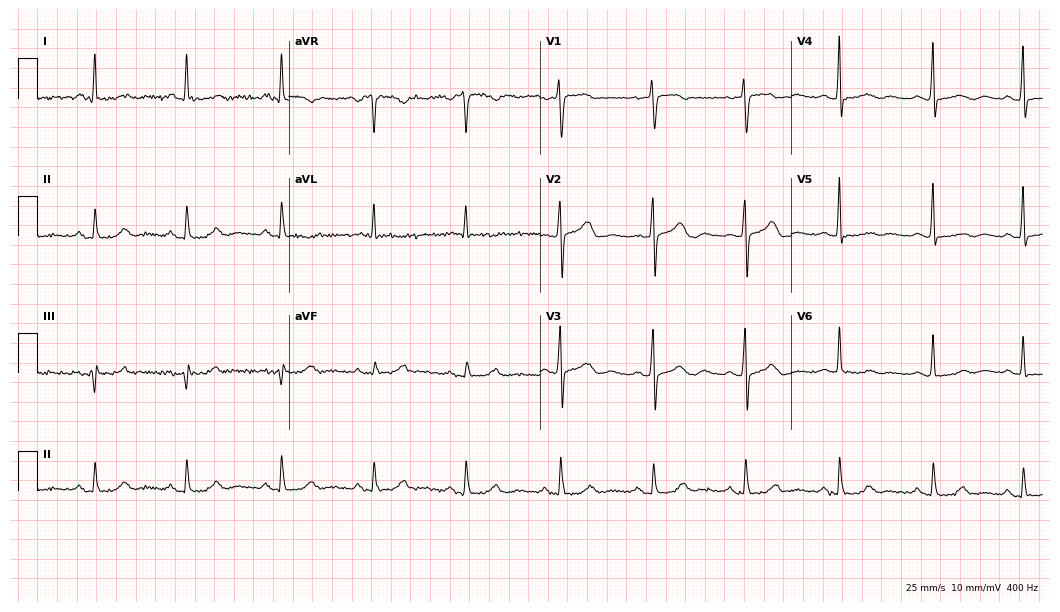
Electrocardiogram, a woman, 74 years old. Of the six screened findings (first-degree AV block, right bundle branch block, left bundle branch block, sinus bradycardia, atrial fibrillation, sinus tachycardia), none is recorded. Only these six findings were labelled.